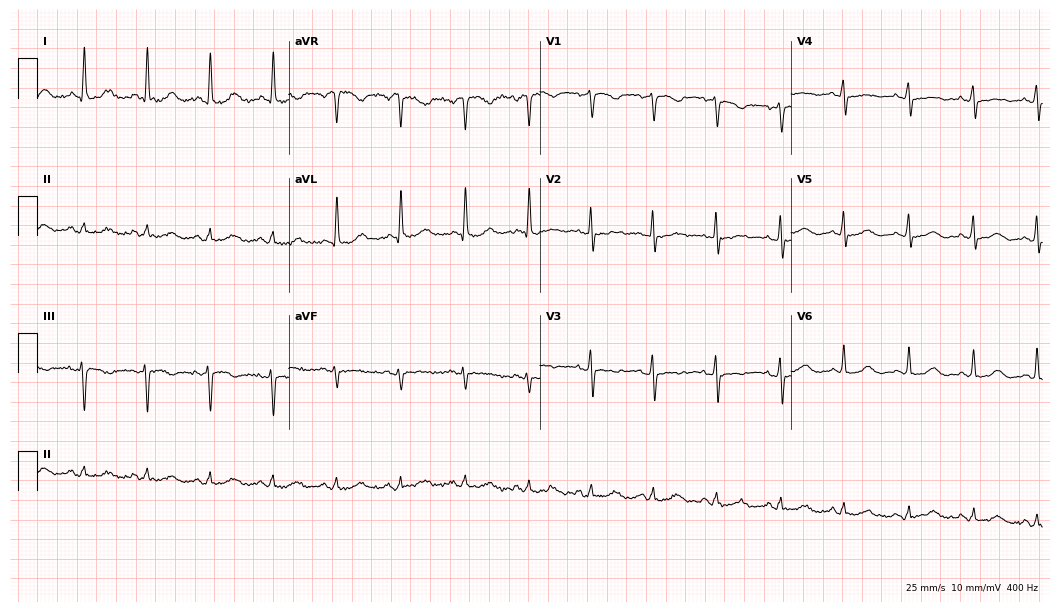
Standard 12-lead ECG recorded from a woman, 61 years old. None of these six findings is recorded: first-degree AV block, right bundle branch block (RBBB), left bundle branch block (LBBB), sinus bradycardia, atrial fibrillation (AF), sinus tachycardia. Only these six findings were labelled.